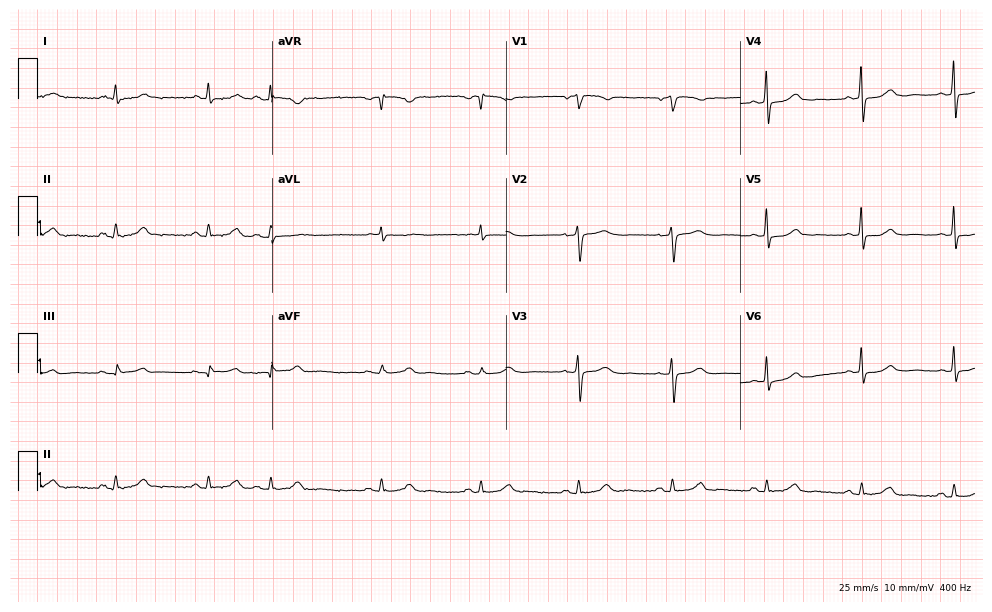
Resting 12-lead electrocardiogram (9.6-second recording at 400 Hz). Patient: a female, 72 years old. None of these six findings is recorded: first-degree AV block, right bundle branch block, left bundle branch block, sinus bradycardia, atrial fibrillation, sinus tachycardia.